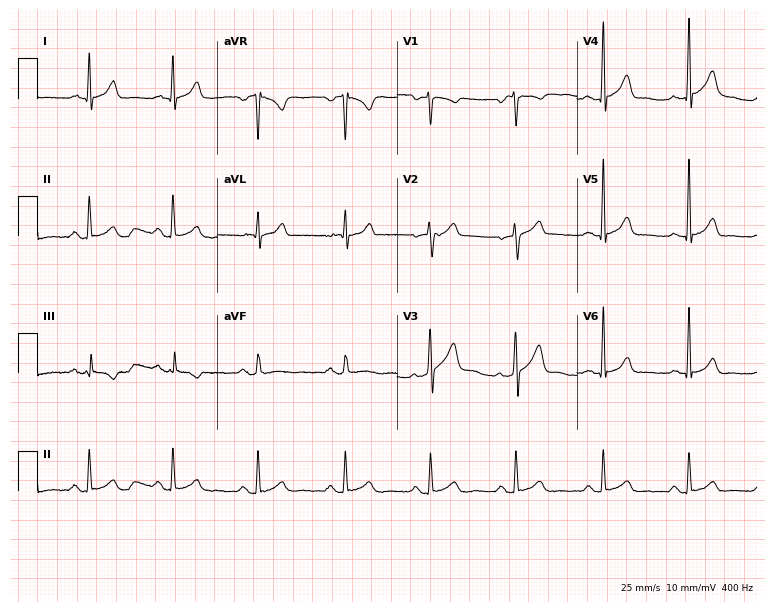
ECG (7.3-second recording at 400 Hz) — a 50-year-old male. Labelled as a normal ECG.